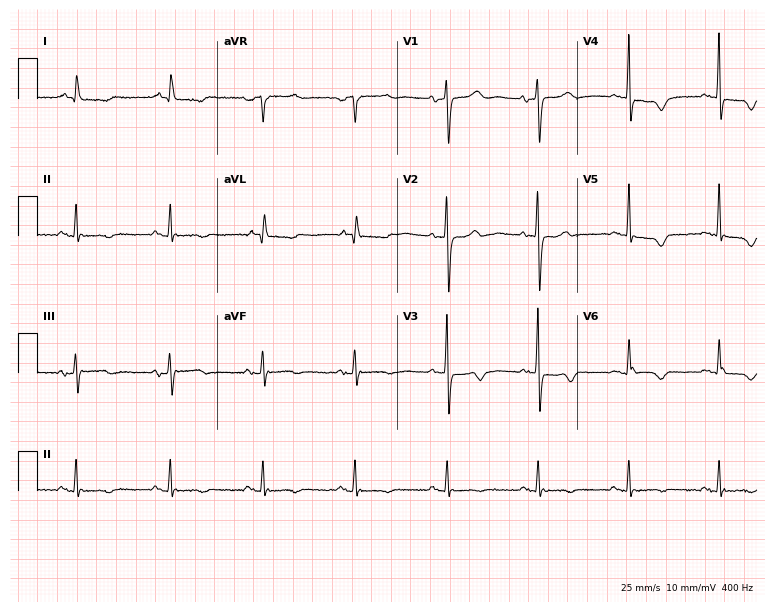
Standard 12-lead ECG recorded from a 65-year-old female. None of these six findings is recorded: first-degree AV block, right bundle branch block, left bundle branch block, sinus bradycardia, atrial fibrillation, sinus tachycardia. Only these six findings were labelled.